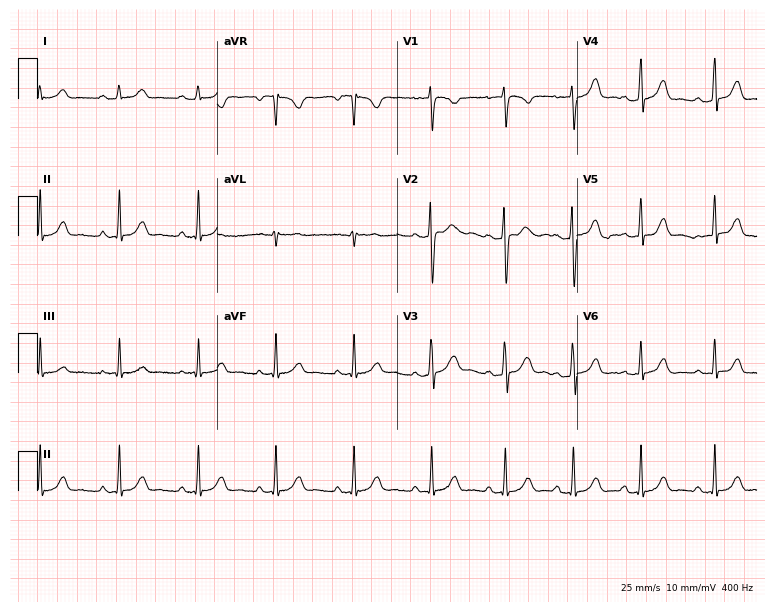
Electrocardiogram (7.3-second recording at 400 Hz), a 19-year-old woman. Of the six screened findings (first-degree AV block, right bundle branch block, left bundle branch block, sinus bradycardia, atrial fibrillation, sinus tachycardia), none is recorded. Findings outside these six are not listed.